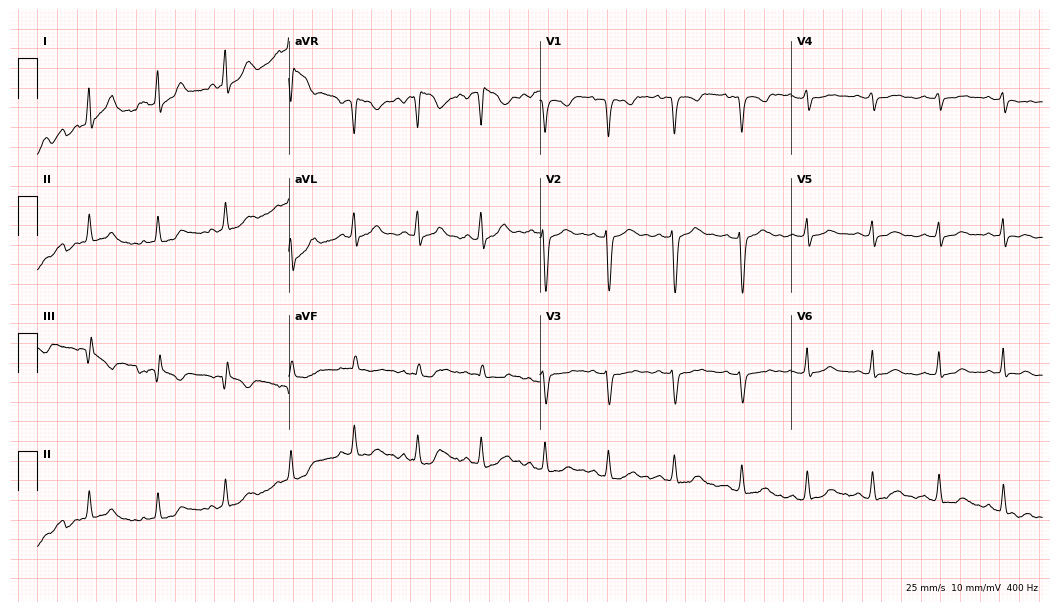
Resting 12-lead electrocardiogram (10.2-second recording at 400 Hz). Patient: an 18-year-old woman. None of these six findings is recorded: first-degree AV block, right bundle branch block, left bundle branch block, sinus bradycardia, atrial fibrillation, sinus tachycardia.